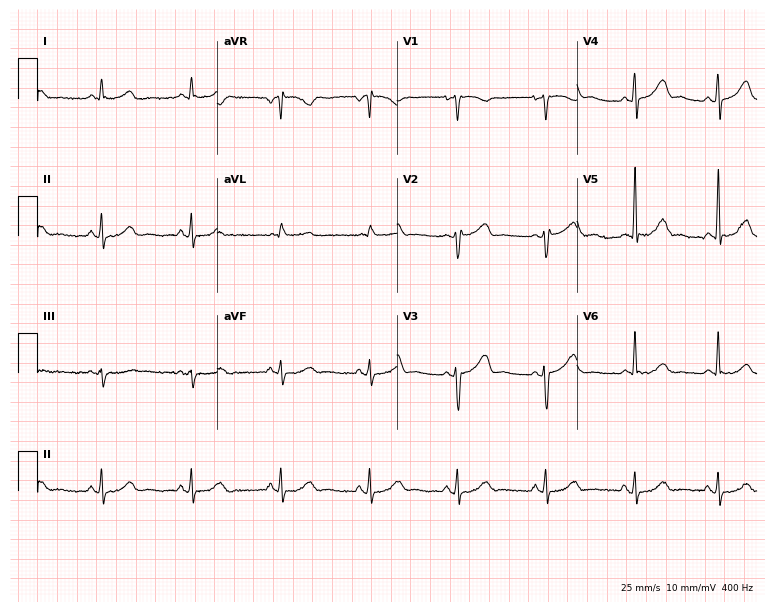
12-lead ECG from a 59-year-old female patient. No first-degree AV block, right bundle branch block (RBBB), left bundle branch block (LBBB), sinus bradycardia, atrial fibrillation (AF) or sinus tachycardia recorded for this tracing. Findings outside these six are not listed.